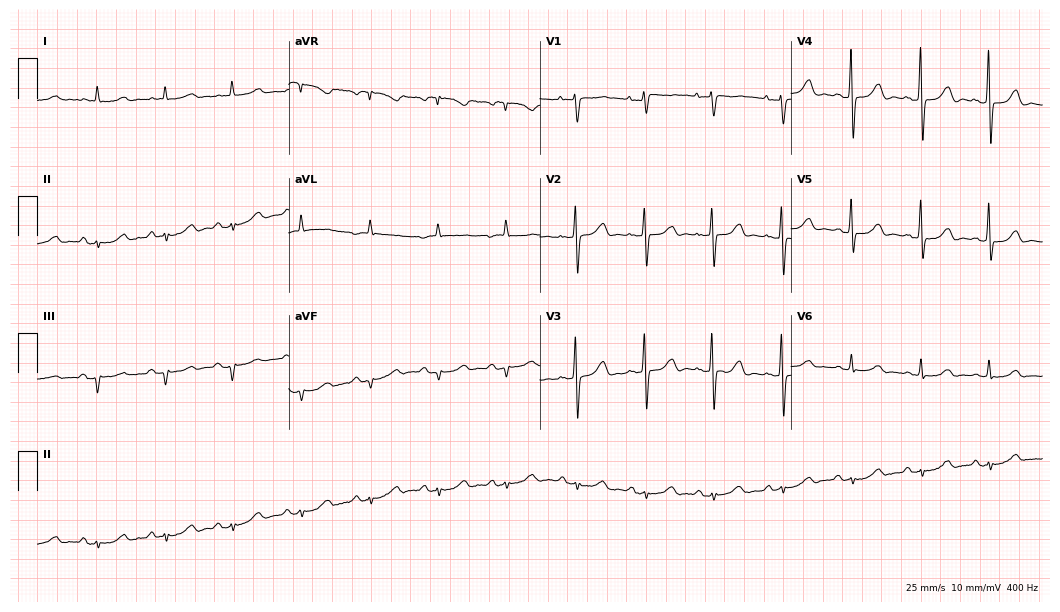
12-lead ECG (10.2-second recording at 400 Hz) from a female, 69 years old. Screened for six findings — first-degree AV block, right bundle branch block, left bundle branch block, sinus bradycardia, atrial fibrillation, sinus tachycardia — none is recorded. Only these six findings were labelled.